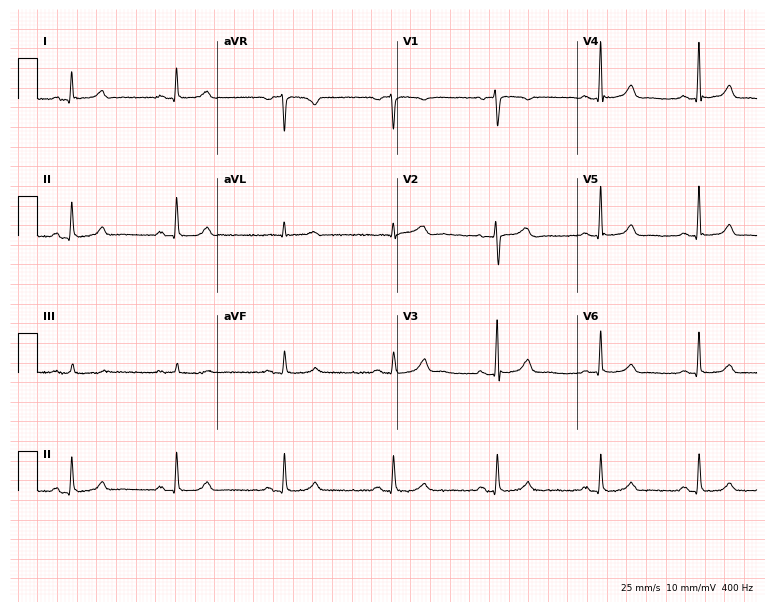
ECG (7.3-second recording at 400 Hz) — a female, 57 years old. Labelled as a normal ECG.